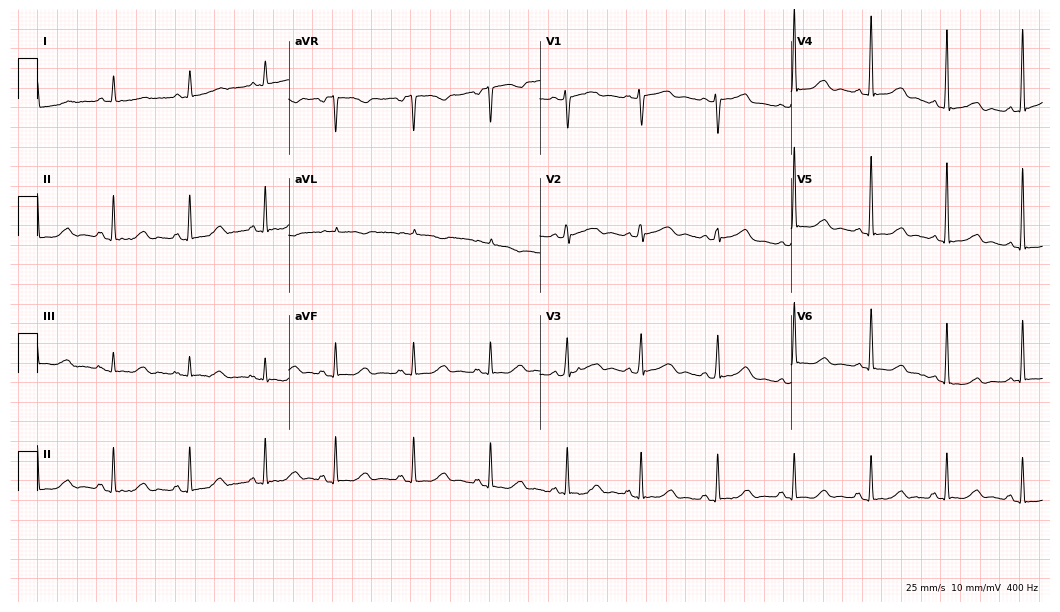
ECG — a woman, 78 years old. Screened for six findings — first-degree AV block, right bundle branch block (RBBB), left bundle branch block (LBBB), sinus bradycardia, atrial fibrillation (AF), sinus tachycardia — none is recorded.